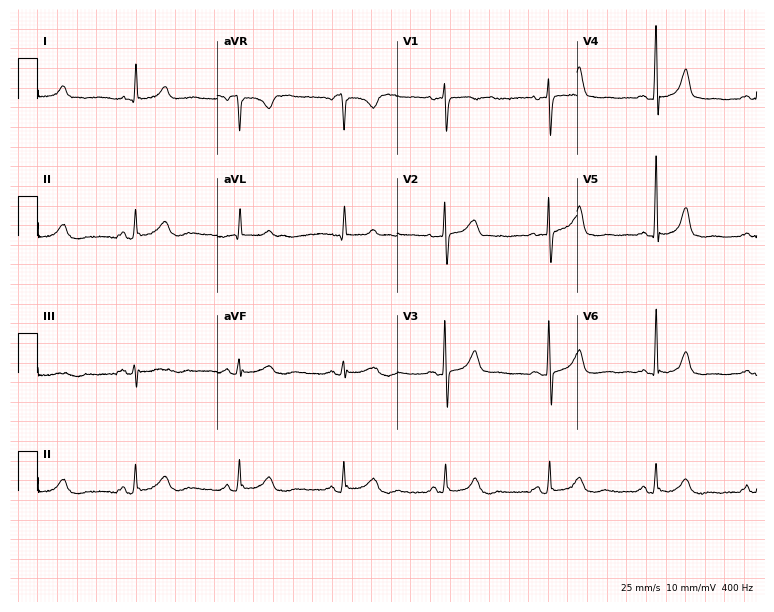
ECG — a 66-year-old female patient. Labelled as a normal ECG.